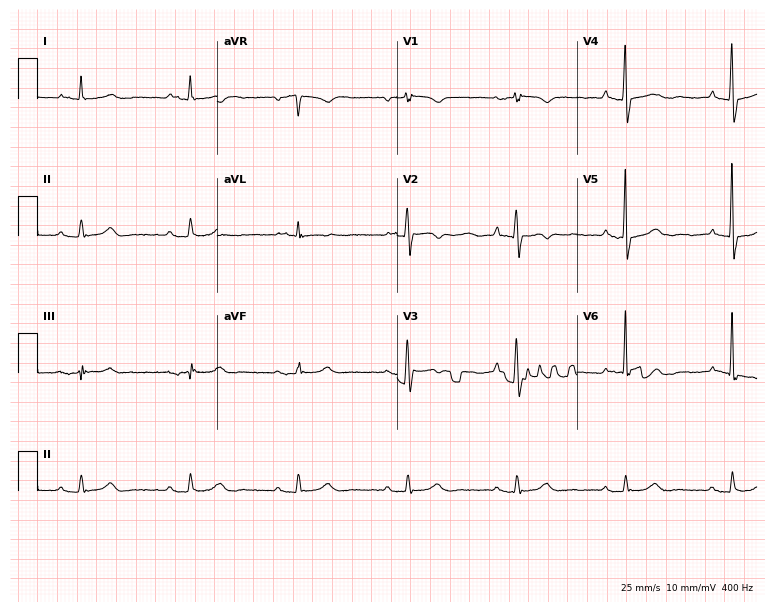
12-lead ECG (7.3-second recording at 400 Hz) from a man, 75 years old. Screened for six findings — first-degree AV block, right bundle branch block, left bundle branch block, sinus bradycardia, atrial fibrillation, sinus tachycardia — none is recorded.